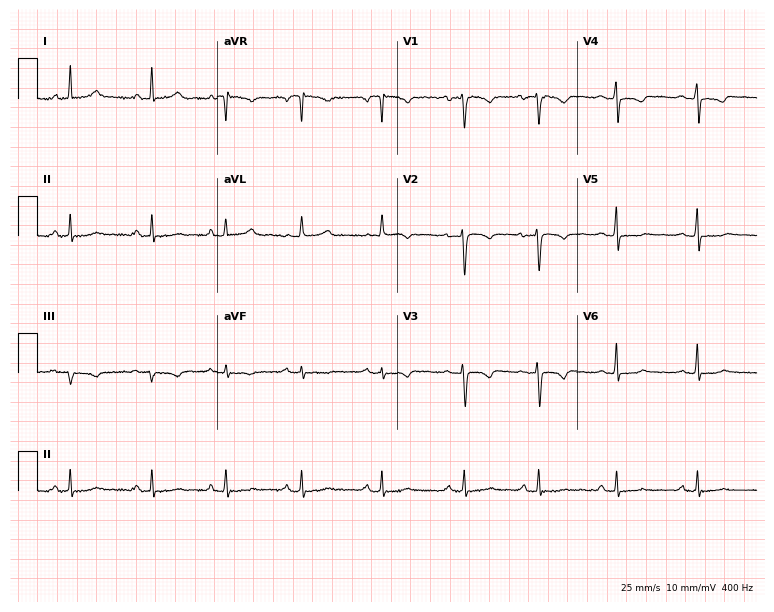
Electrocardiogram, a 48-year-old female. Of the six screened findings (first-degree AV block, right bundle branch block, left bundle branch block, sinus bradycardia, atrial fibrillation, sinus tachycardia), none is recorded. Other findings, if any, are not listed.